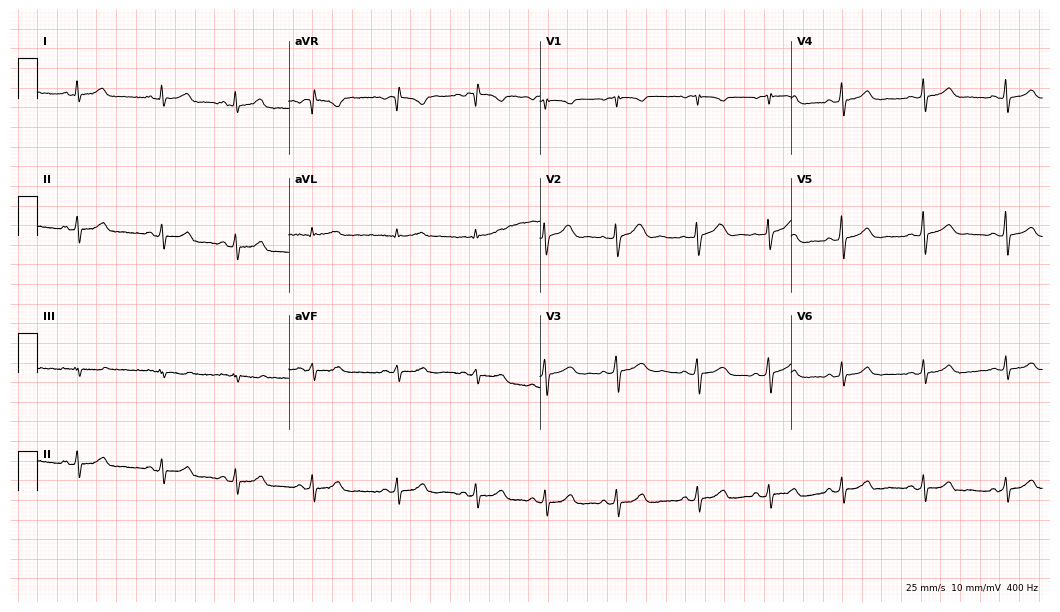
Resting 12-lead electrocardiogram. Patient: a 22-year-old female. Read as a normal ECG.